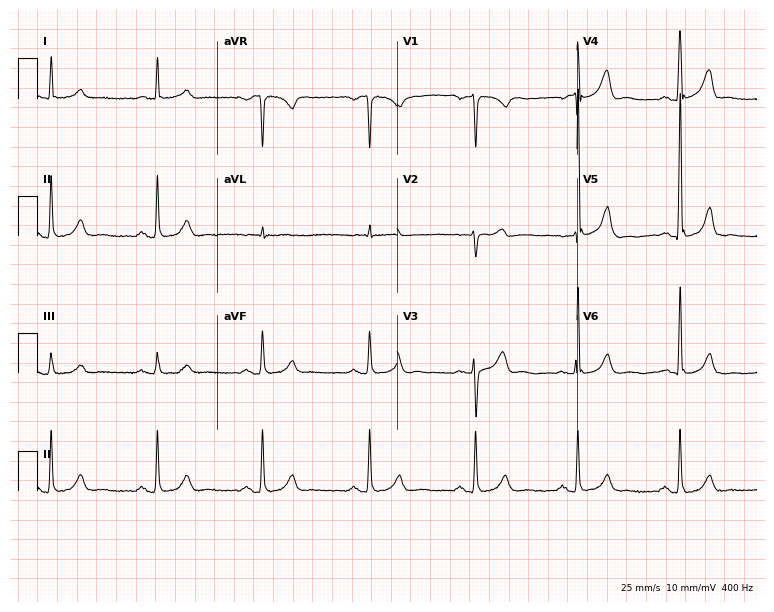
Resting 12-lead electrocardiogram. Patient: a male, 68 years old. None of these six findings is recorded: first-degree AV block, right bundle branch block, left bundle branch block, sinus bradycardia, atrial fibrillation, sinus tachycardia. Findings outside these six are not listed.